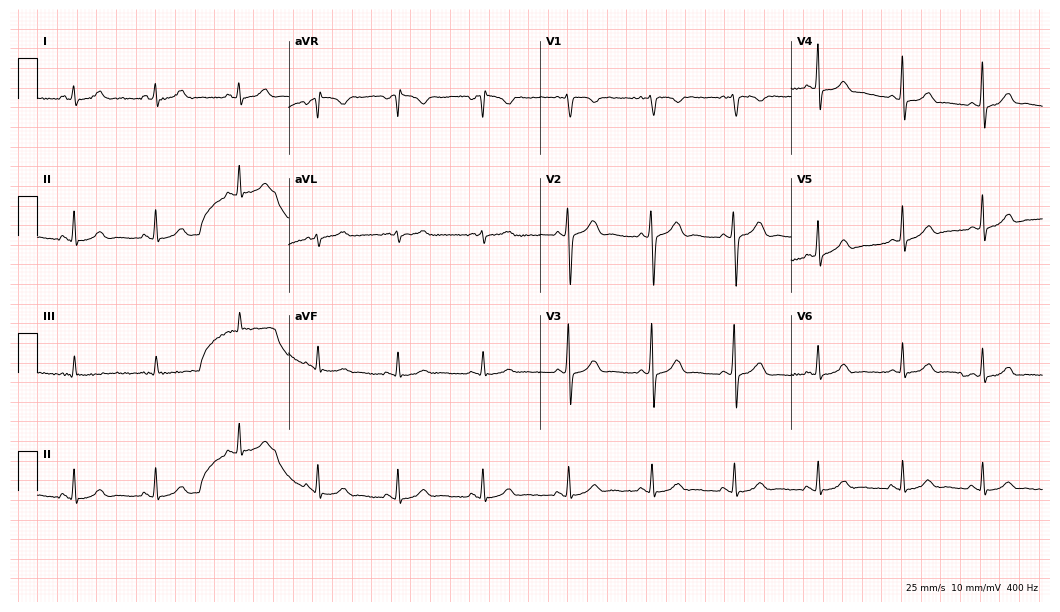
ECG — a 27-year-old woman. Screened for six findings — first-degree AV block, right bundle branch block, left bundle branch block, sinus bradycardia, atrial fibrillation, sinus tachycardia — none is recorded.